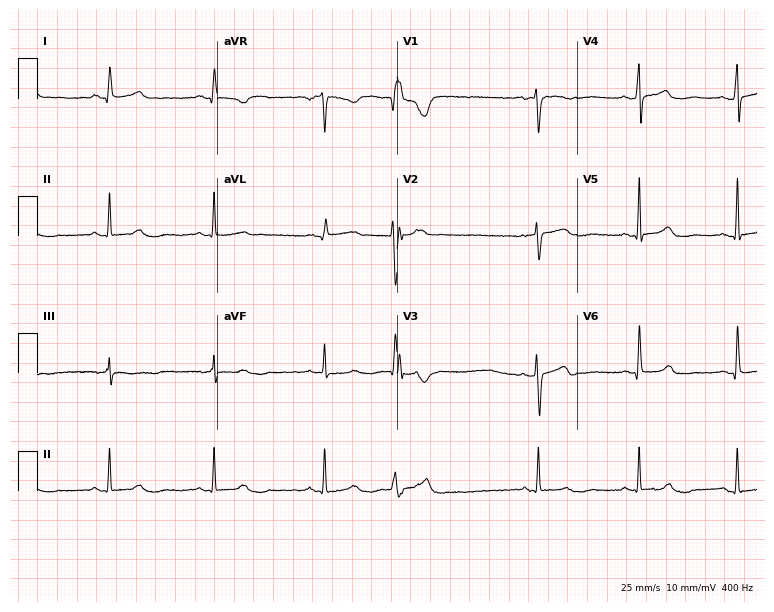
12-lead ECG from a female patient, 55 years old. Labelled as a normal ECG.